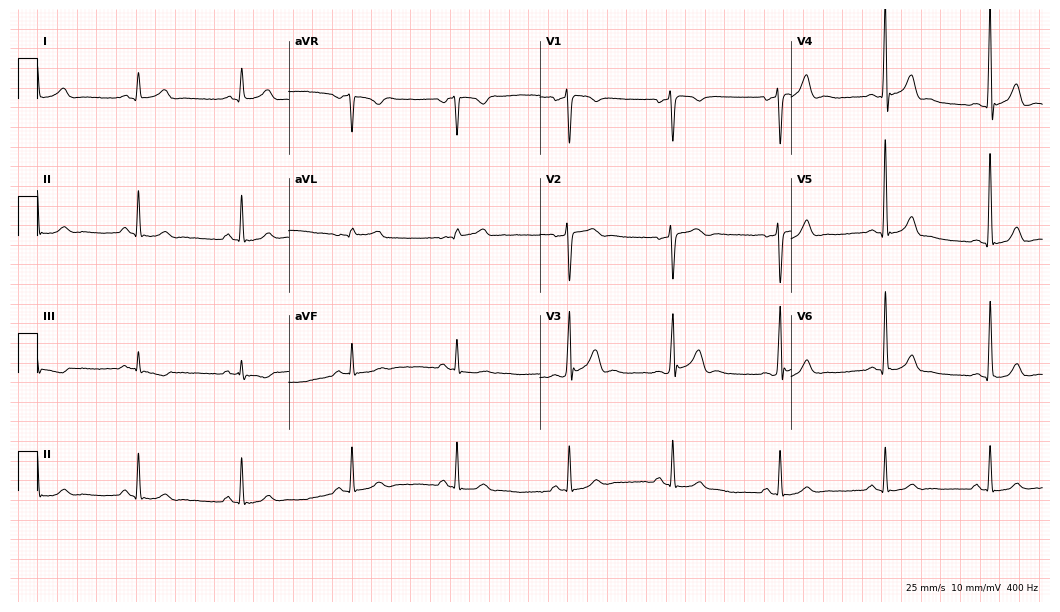
ECG — a 24-year-old male patient. Labelled as a normal ECG.